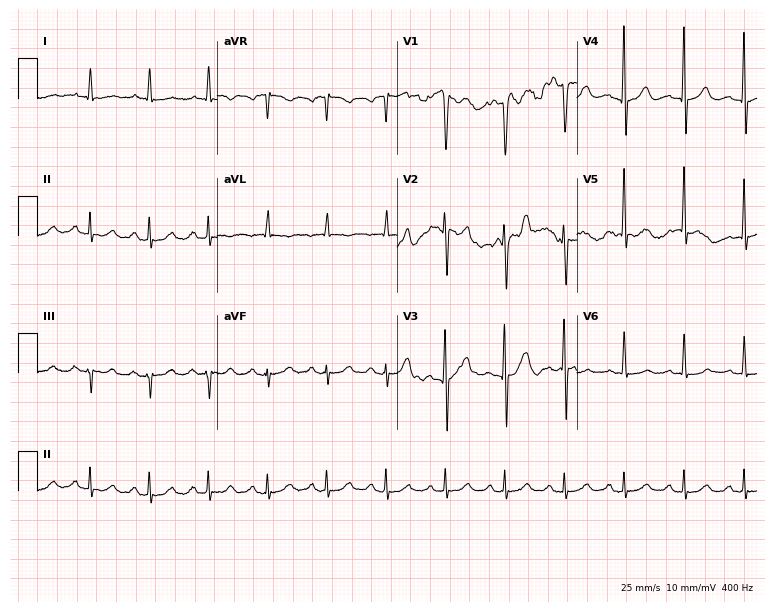
Standard 12-lead ECG recorded from a man, 83 years old. None of these six findings is recorded: first-degree AV block, right bundle branch block, left bundle branch block, sinus bradycardia, atrial fibrillation, sinus tachycardia.